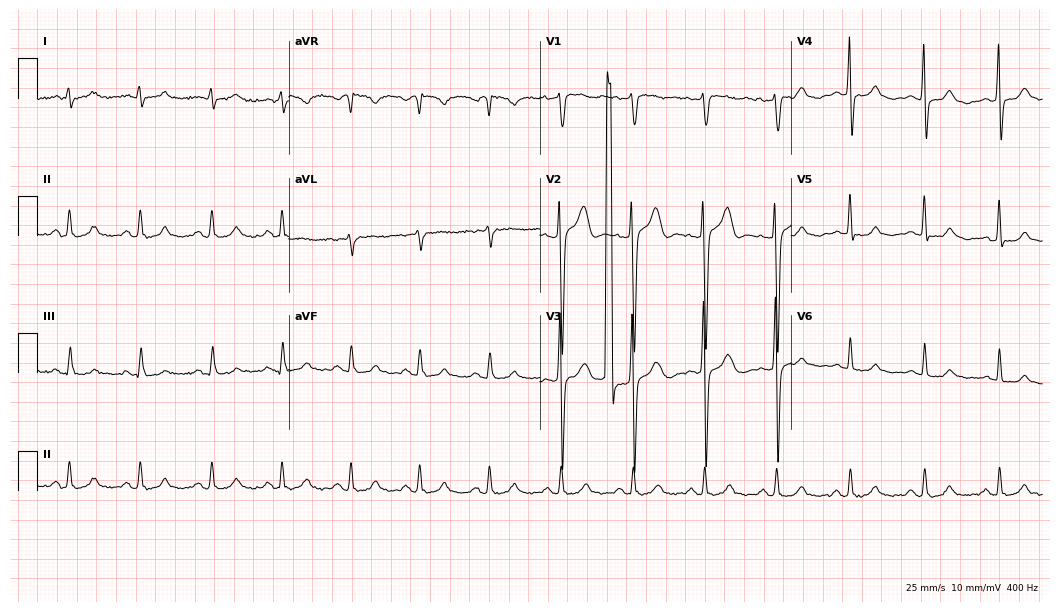
Electrocardiogram, a 46-year-old man. Overall reading on record: normal ECG.